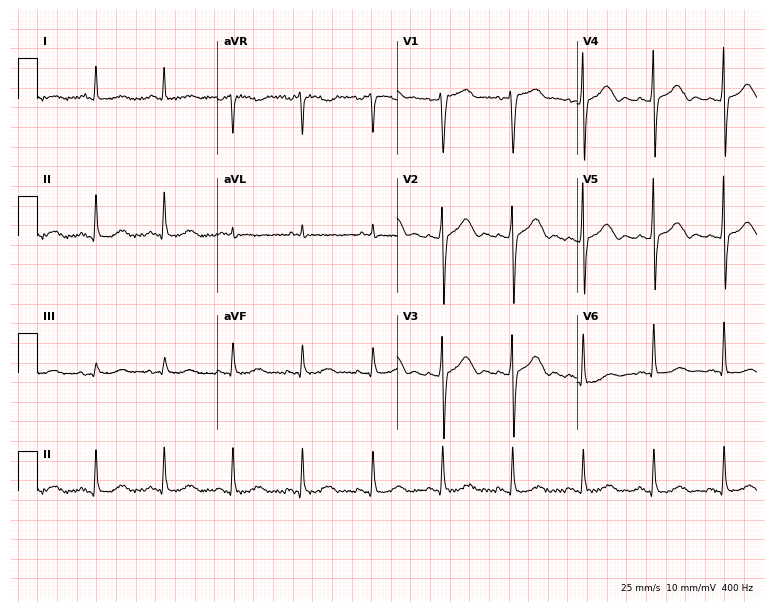
12-lead ECG from a male, 72 years old. Screened for six findings — first-degree AV block, right bundle branch block, left bundle branch block, sinus bradycardia, atrial fibrillation, sinus tachycardia — none is recorded. Other findings, if any, are not listed.